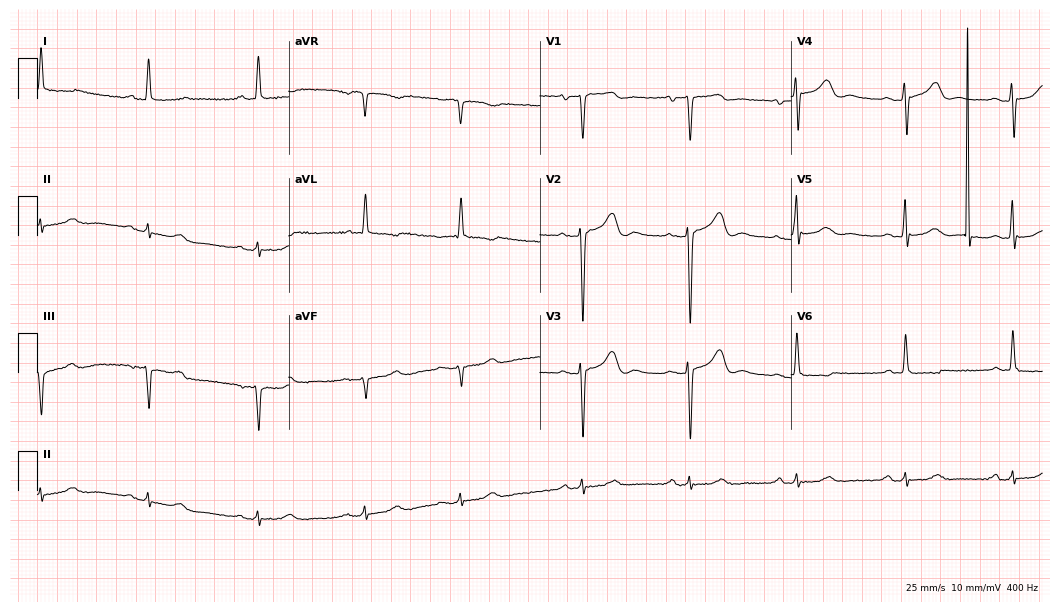
12-lead ECG from a 73-year-old female. Findings include first-degree AV block.